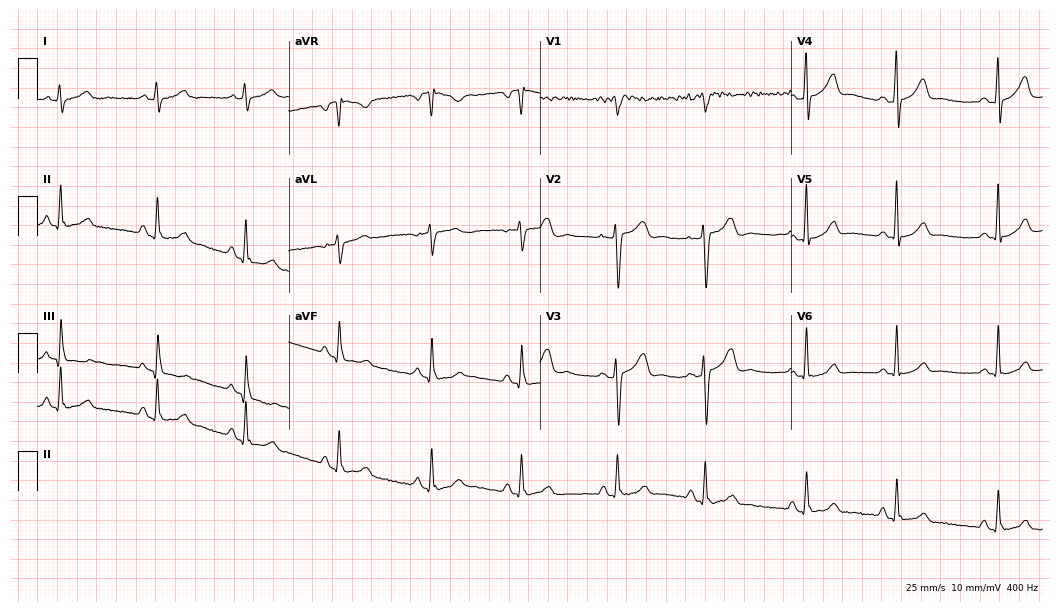
12-lead ECG from a 28-year-old woman. Labelled as a normal ECG.